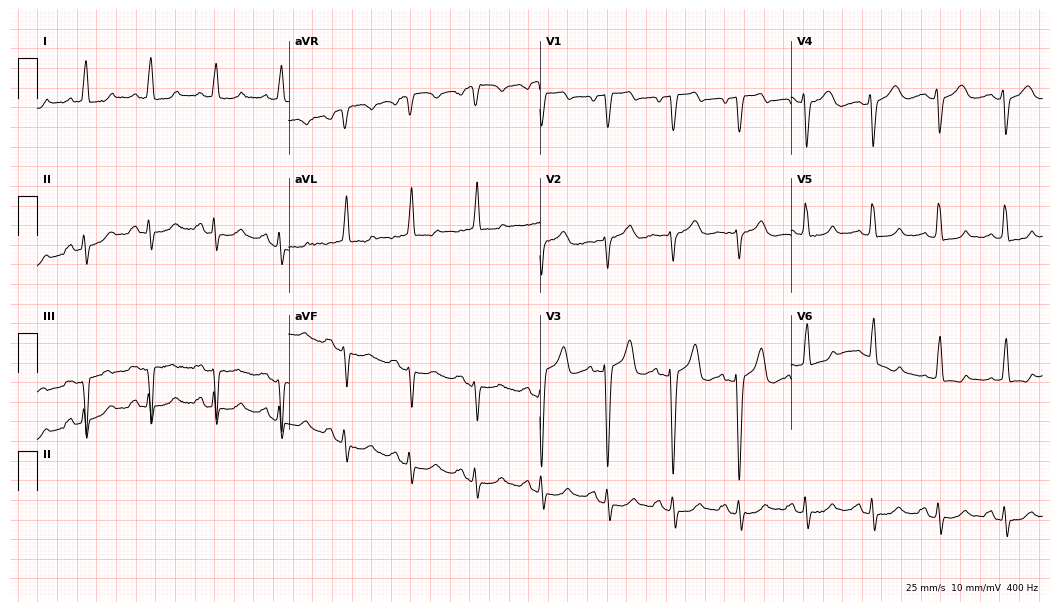
Electrocardiogram (10.2-second recording at 400 Hz), a woman, 74 years old. Of the six screened findings (first-degree AV block, right bundle branch block, left bundle branch block, sinus bradycardia, atrial fibrillation, sinus tachycardia), none is recorded. Findings outside these six are not listed.